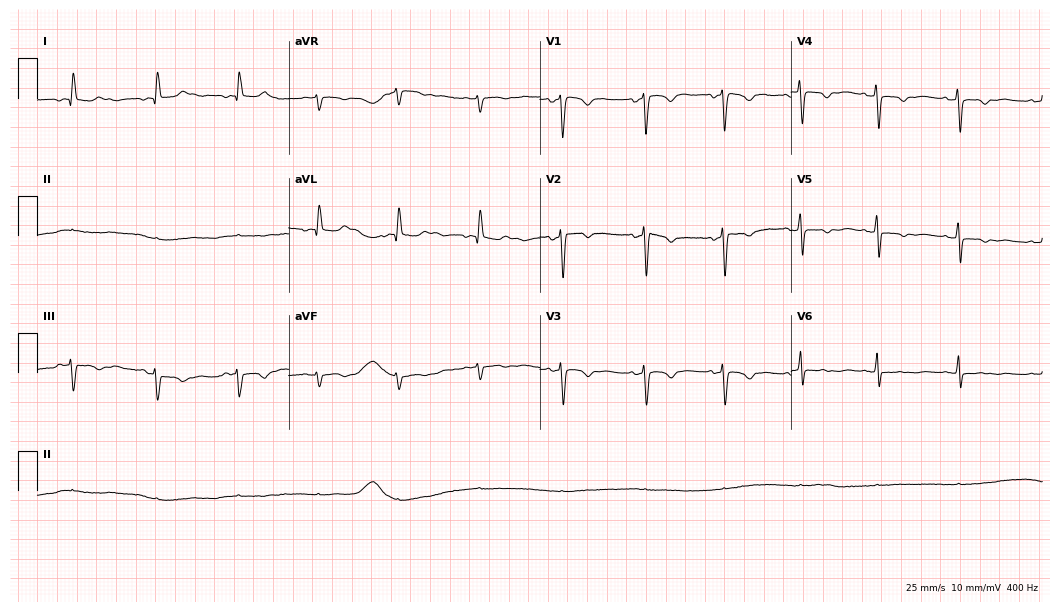
ECG — a female patient, 44 years old. Screened for six findings — first-degree AV block, right bundle branch block, left bundle branch block, sinus bradycardia, atrial fibrillation, sinus tachycardia — none is recorded. Findings outside these six are not listed.